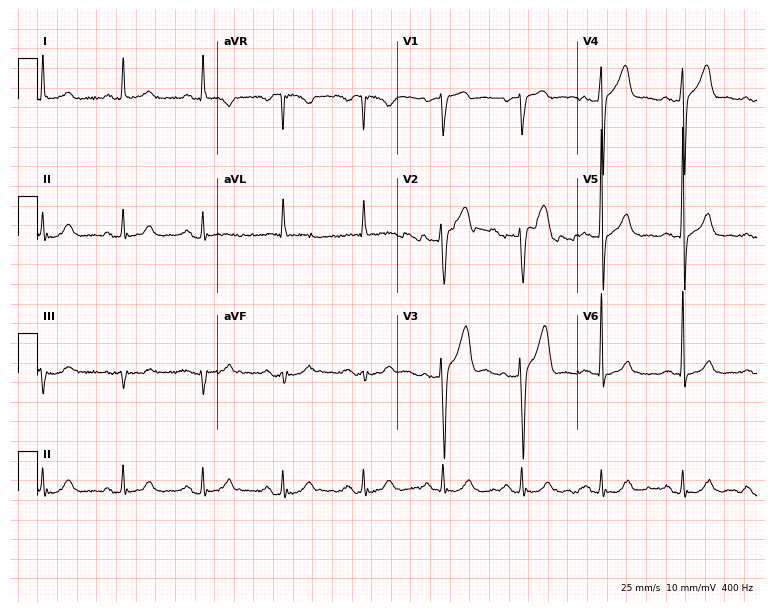
12-lead ECG (7.3-second recording at 400 Hz) from a man, 69 years old. Labelled as a normal ECG.